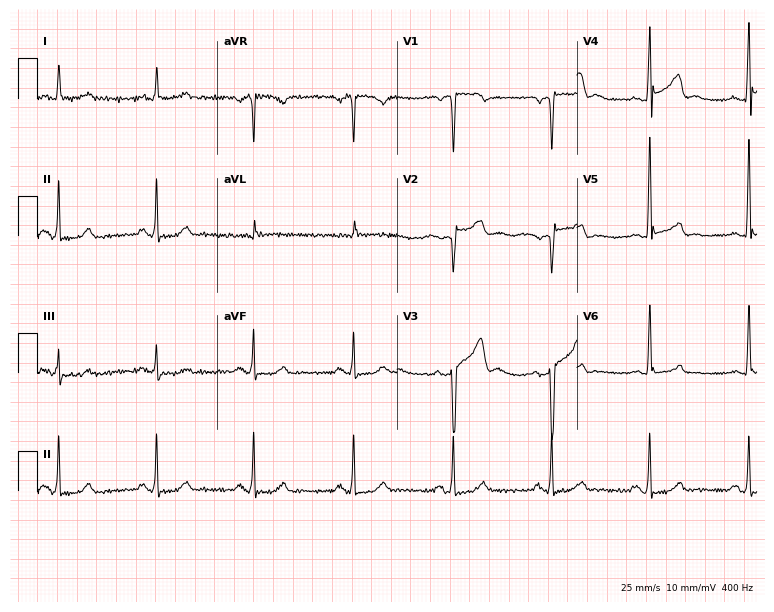
Standard 12-lead ECG recorded from a male, 58 years old. None of these six findings is recorded: first-degree AV block, right bundle branch block, left bundle branch block, sinus bradycardia, atrial fibrillation, sinus tachycardia. Findings outside these six are not listed.